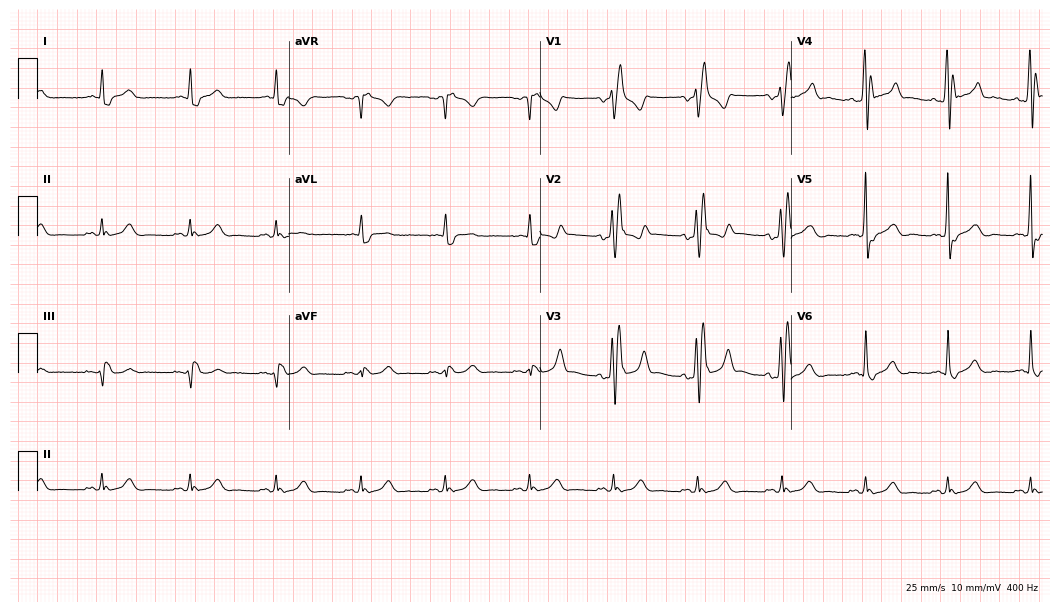
Standard 12-lead ECG recorded from a 47-year-old male patient (10.2-second recording at 400 Hz). The tracing shows right bundle branch block.